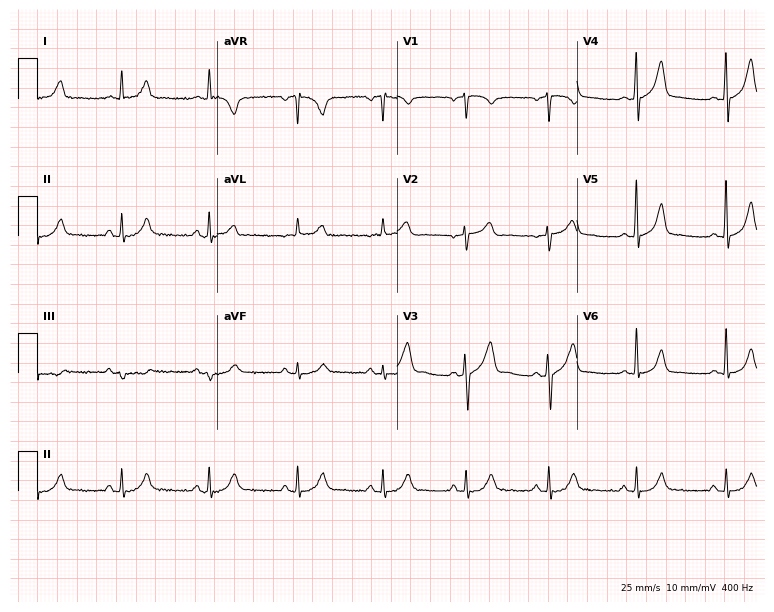
Electrocardiogram, a male, 50 years old. Of the six screened findings (first-degree AV block, right bundle branch block, left bundle branch block, sinus bradycardia, atrial fibrillation, sinus tachycardia), none is recorded.